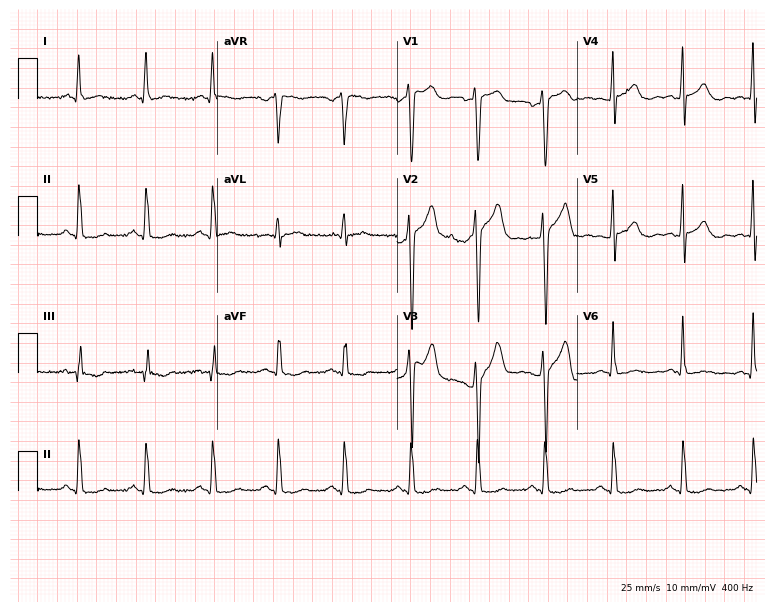
Electrocardiogram, a 61-year-old male. Of the six screened findings (first-degree AV block, right bundle branch block, left bundle branch block, sinus bradycardia, atrial fibrillation, sinus tachycardia), none is recorded. Only these six findings were labelled.